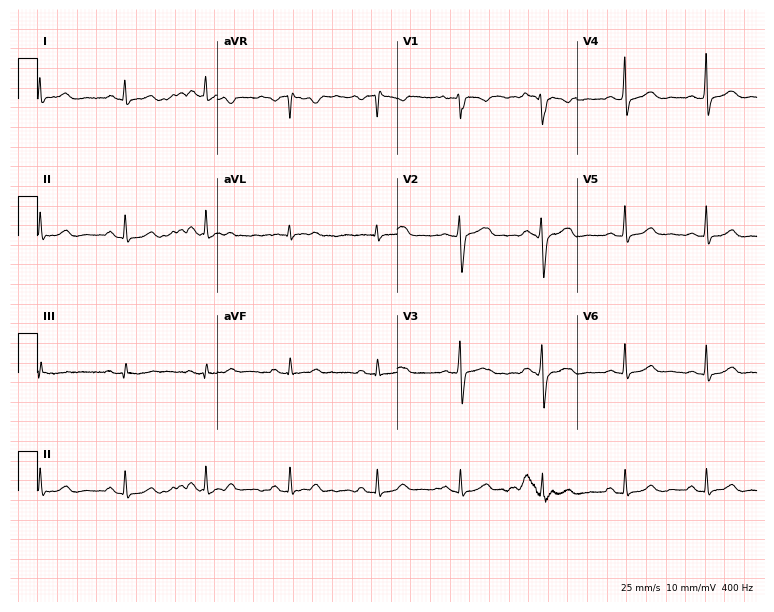
12-lead ECG from a female, 39 years old (7.3-second recording at 400 Hz). No first-degree AV block, right bundle branch block (RBBB), left bundle branch block (LBBB), sinus bradycardia, atrial fibrillation (AF) or sinus tachycardia recorded for this tracing.